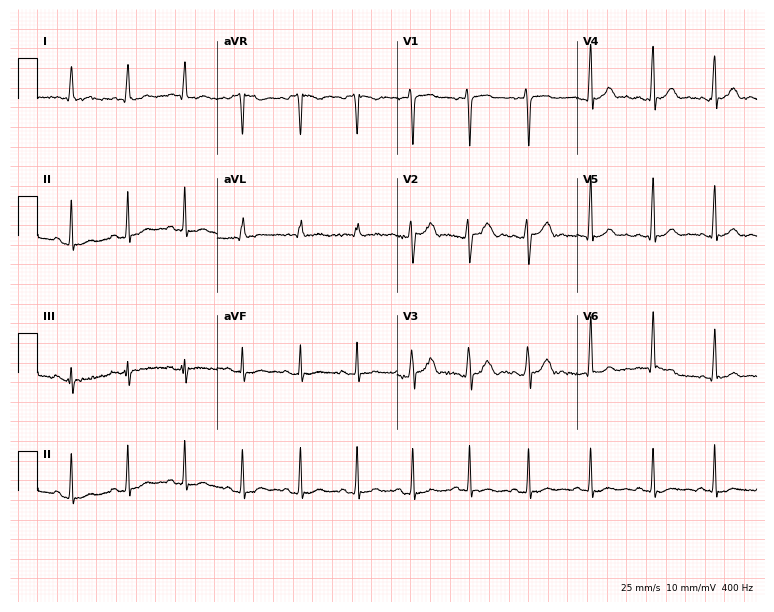
Resting 12-lead electrocardiogram (7.3-second recording at 400 Hz). Patient: a 25-year-old man. The tracing shows sinus tachycardia (a sinus rate of 100 beats per minute or more).